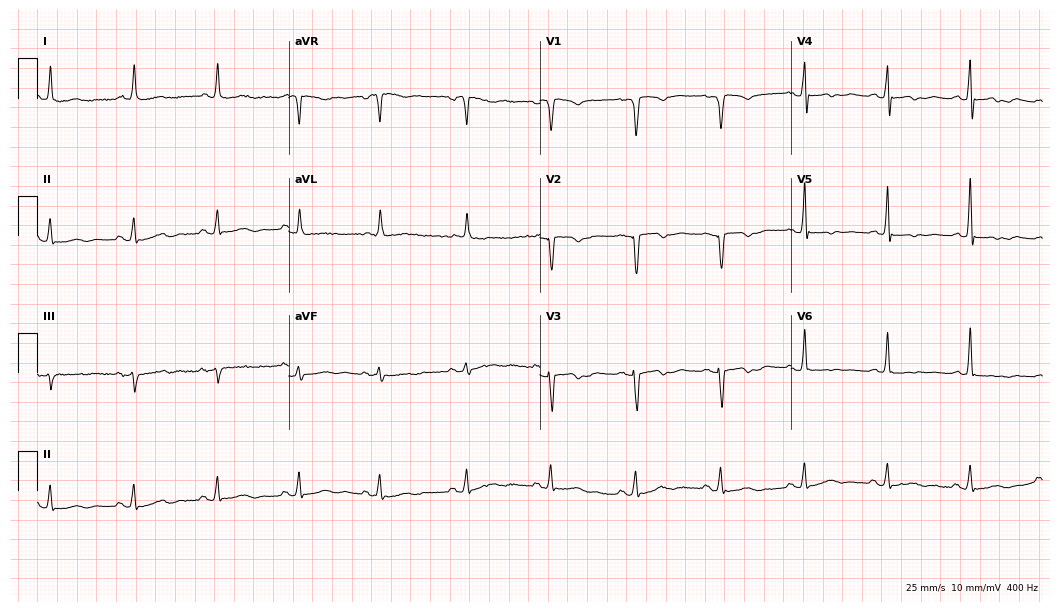
12-lead ECG from a 79-year-old woman (10.2-second recording at 400 Hz). No first-degree AV block, right bundle branch block, left bundle branch block, sinus bradycardia, atrial fibrillation or sinus tachycardia recorded for this tracing.